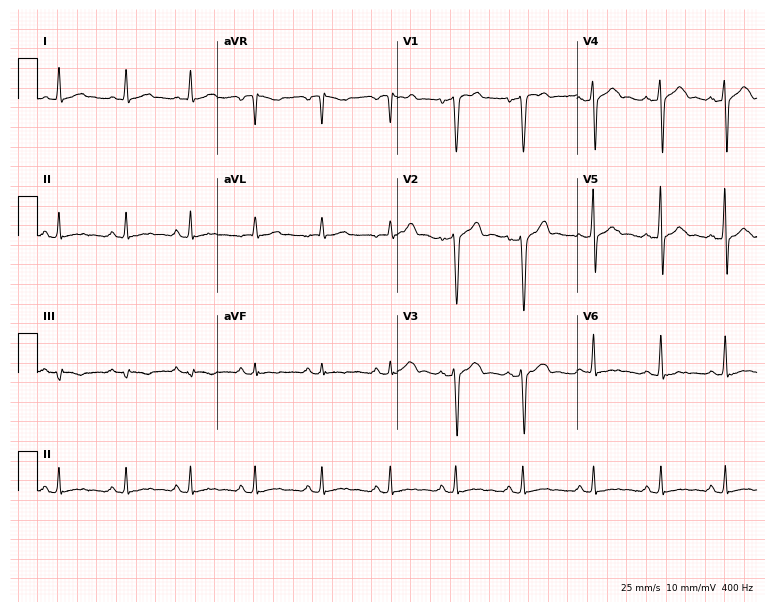
Electrocardiogram, a male patient, 45 years old. Of the six screened findings (first-degree AV block, right bundle branch block, left bundle branch block, sinus bradycardia, atrial fibrillation, sinus tachycardia), none is recorded.